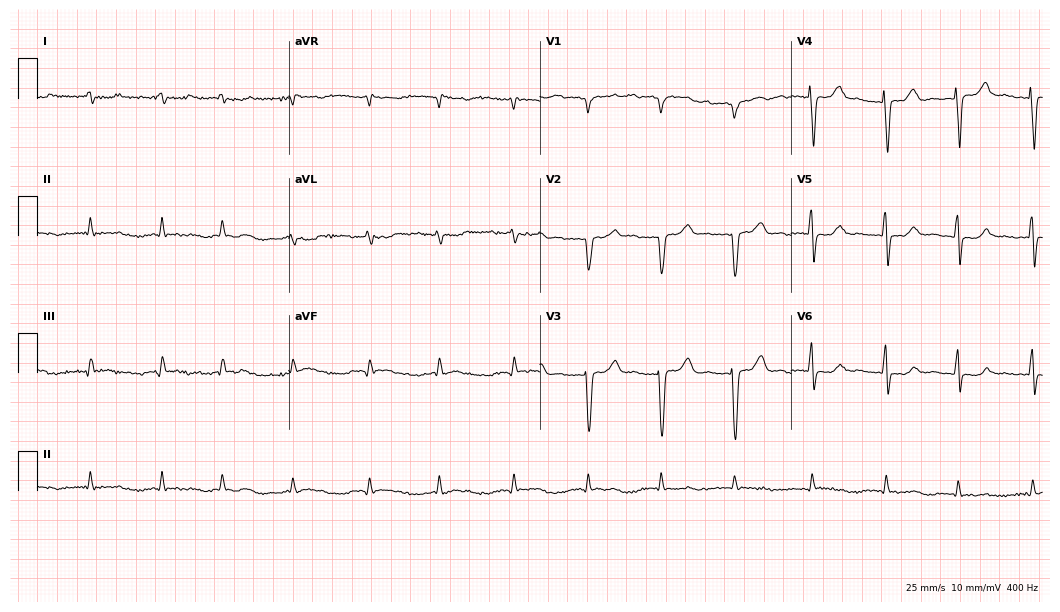
12-lead ECG (10.2-second recording at 400 Hz) from a man, 75 years old. Findings include atrial fibrillation (AF).